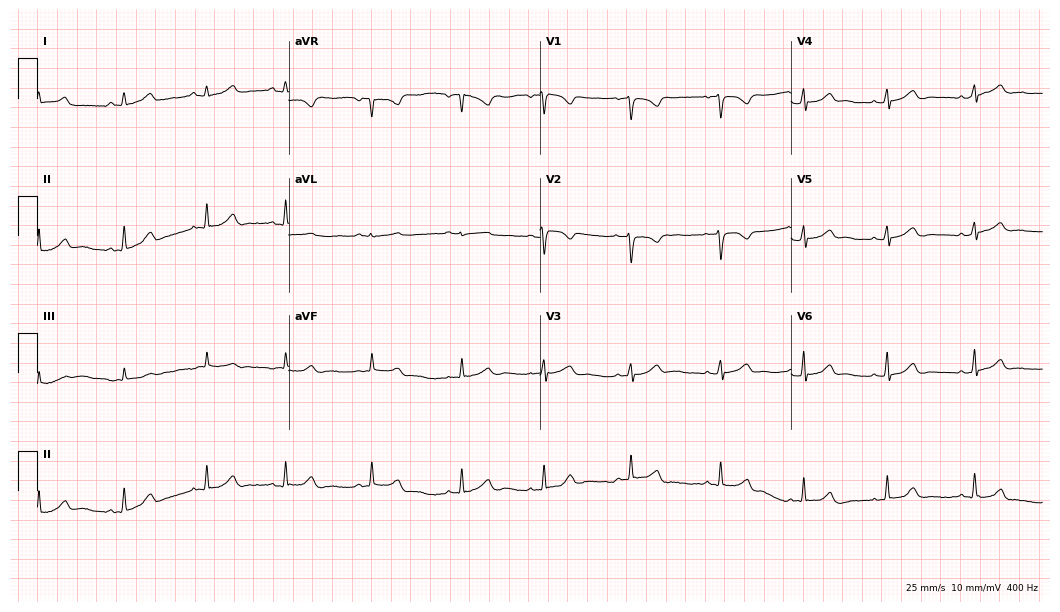
ECG — a 23-year-old female patient. Labelled as a normal ECG.